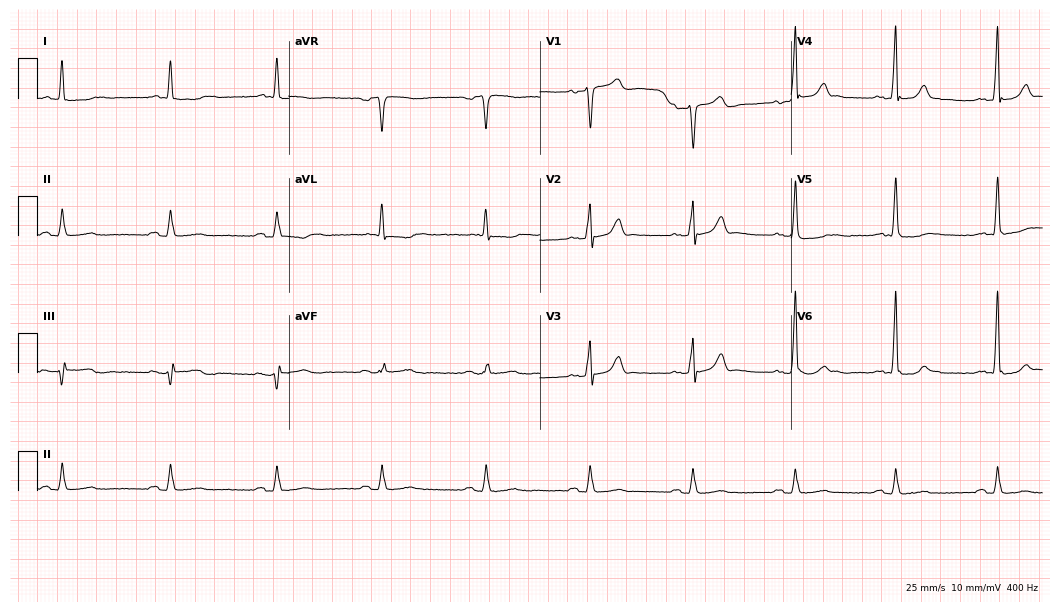
ECG — a man, 81 years old. Labelled as a normal ECG.